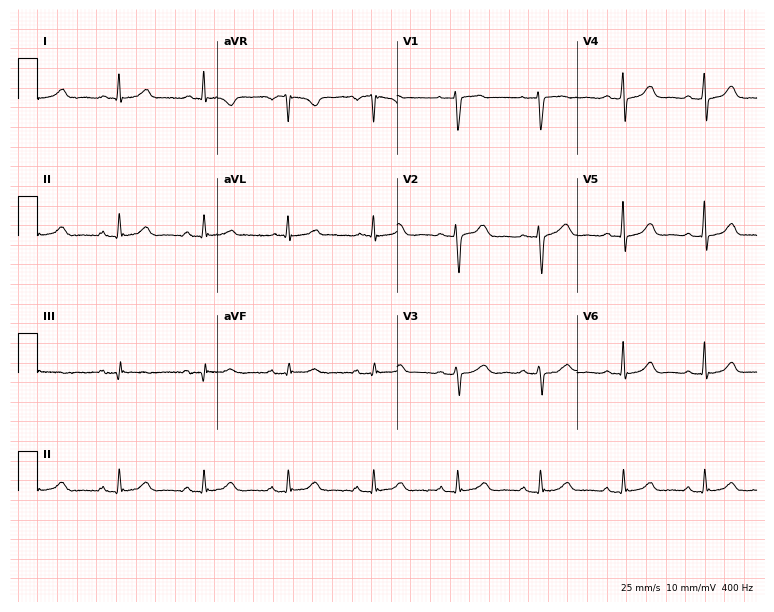
12-lead ECG (7.3-second recording at 400 Hz) from a 56-year-old female patient. Labelled as a normal ECG.